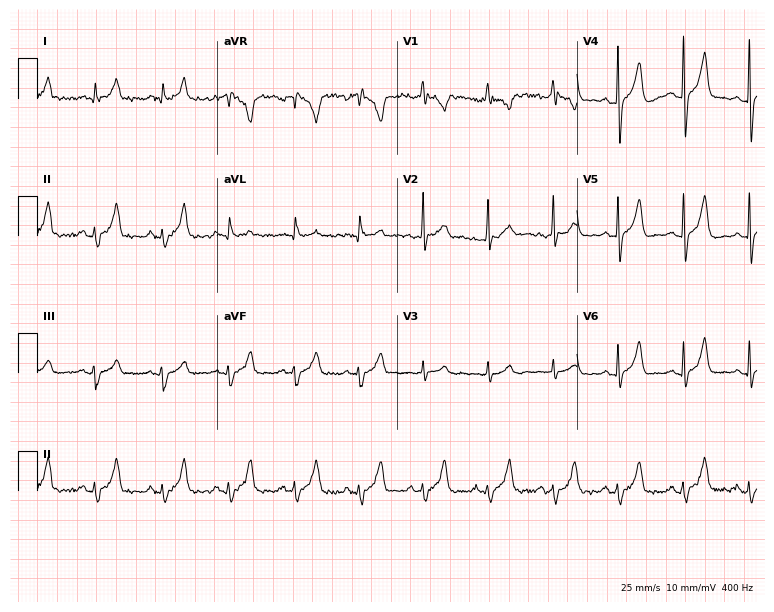
Resting 12-lead electrocardiogram. Patient: a man, 45 years old. None of these six findings is recorded: first-degree AV block, right bundle branch block, left bundle branch block, sinus bradycardia, atrial fibrillation, sinus tachycardia.